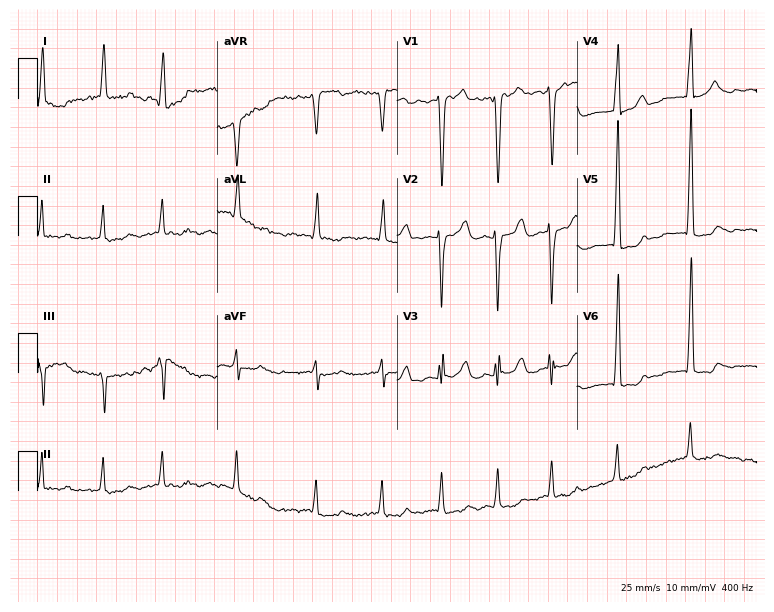
12-lead ECG from a 73-year-old man. Findings include atrial fibrillation.